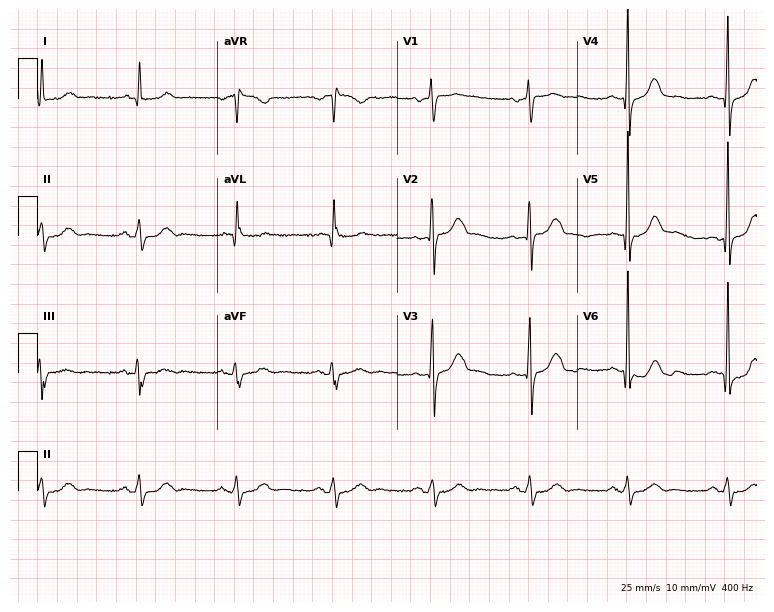
Resting 12-lead electrocardiogram. Patient: a male, 65 years old. None of these six findings is recorded: first-degree AV block, right bundle branch block, left bundle branch block, sinus bradycardia, atrial fibrillation, sinus tachycardia.